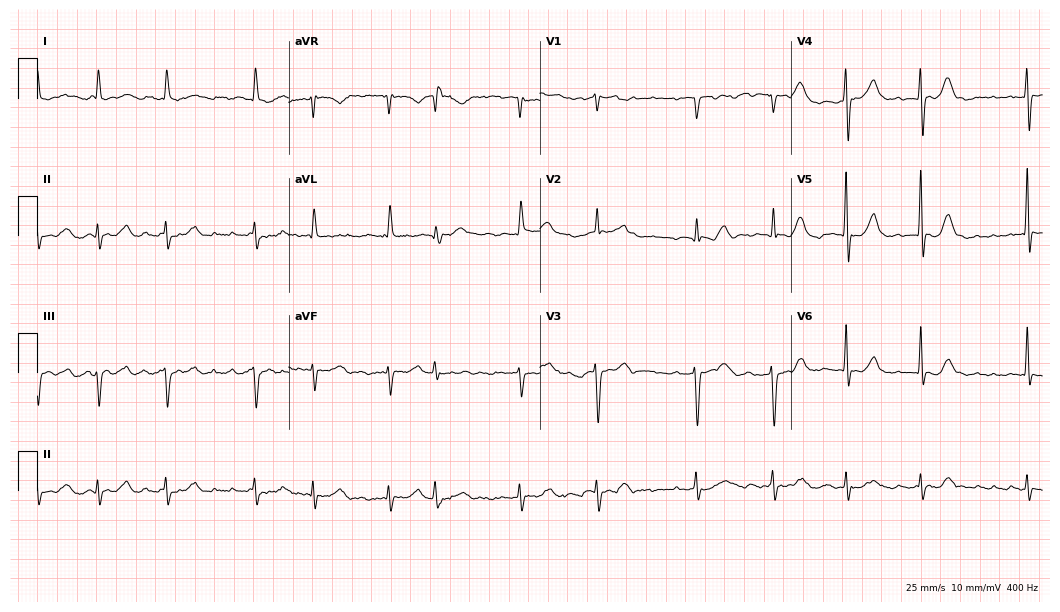
12-lead ECG (10.2-second recording at 400 Hz) from an 85-year-old woman. Findings include atrial fibrillation (AF).